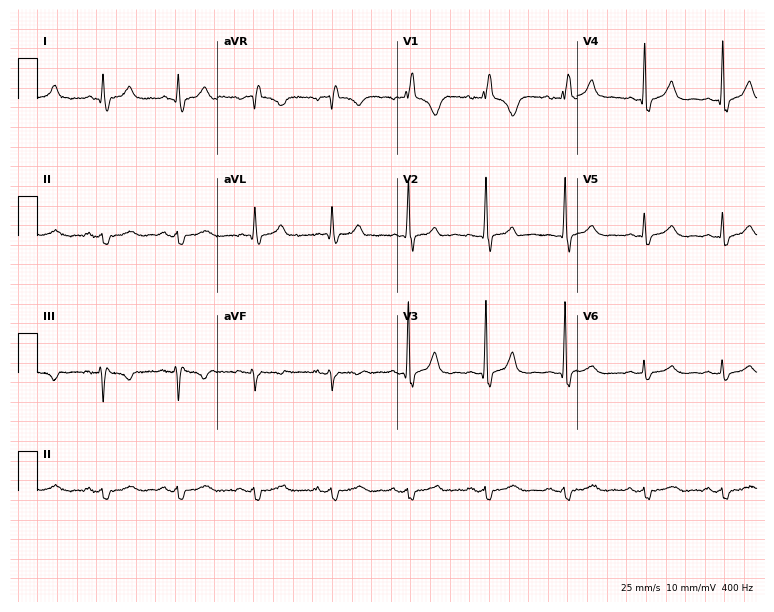
Standard 12-lead ECG recorded from a 34-year-old female patient (7.3-second recording at 400 Hz). The tracing shows right bundle branch block.